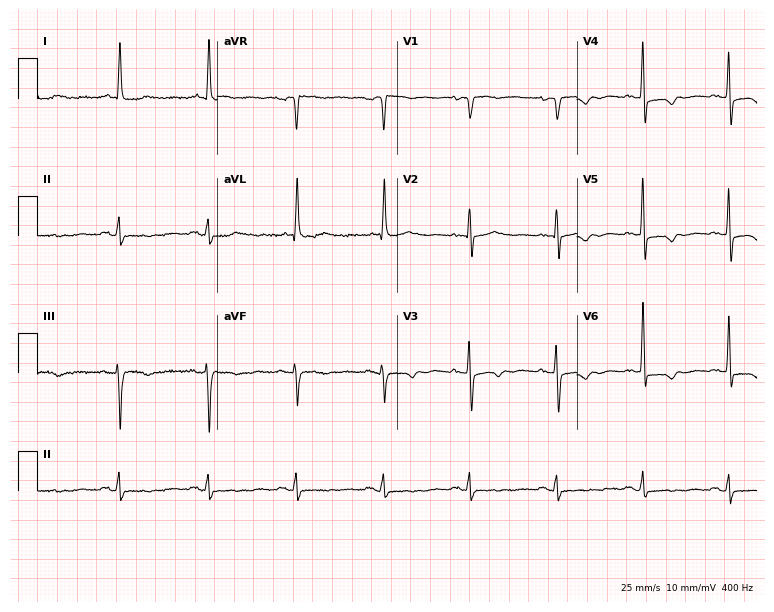
Resting 12-lead electrocardiogram (7.3-second recording at 400 Hz). Patient: an 82-year-old female. None of these six findings is recorded: first-degree AV block, right bundle branch block (RBBB), left bundle branch block (LBBB), sinus bradycardia, atrial fibrillation (AF), sinus tachycardia.